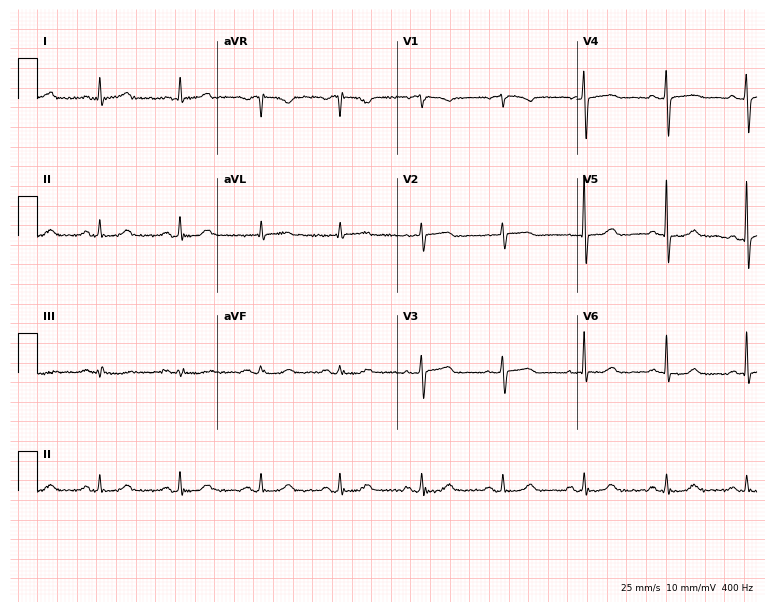
Electrocardiogram (7.3-second recording at 400 Hz), a 65-year-old female. Overall reading on record: normal ECG.